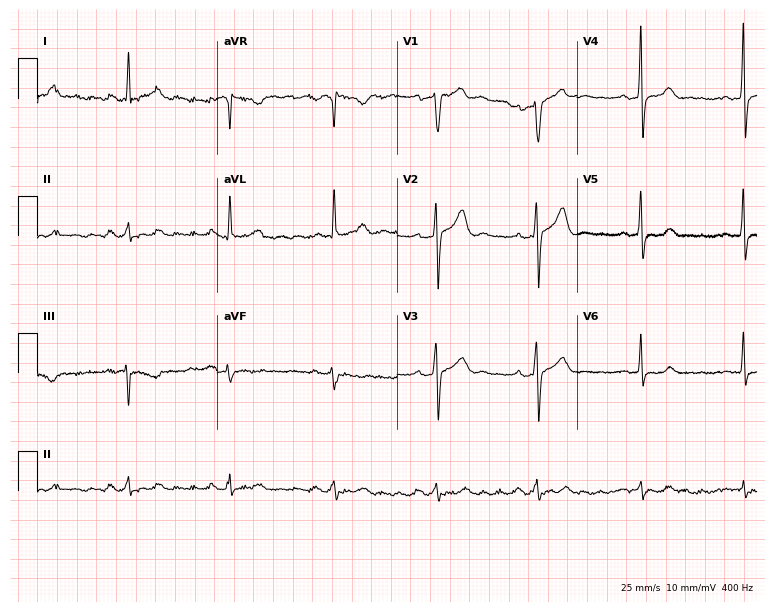
12-lead ECG from a male patient, 50 years old (7.3-second recording at 400 Hz). Recorded interpretation: within normal limits.